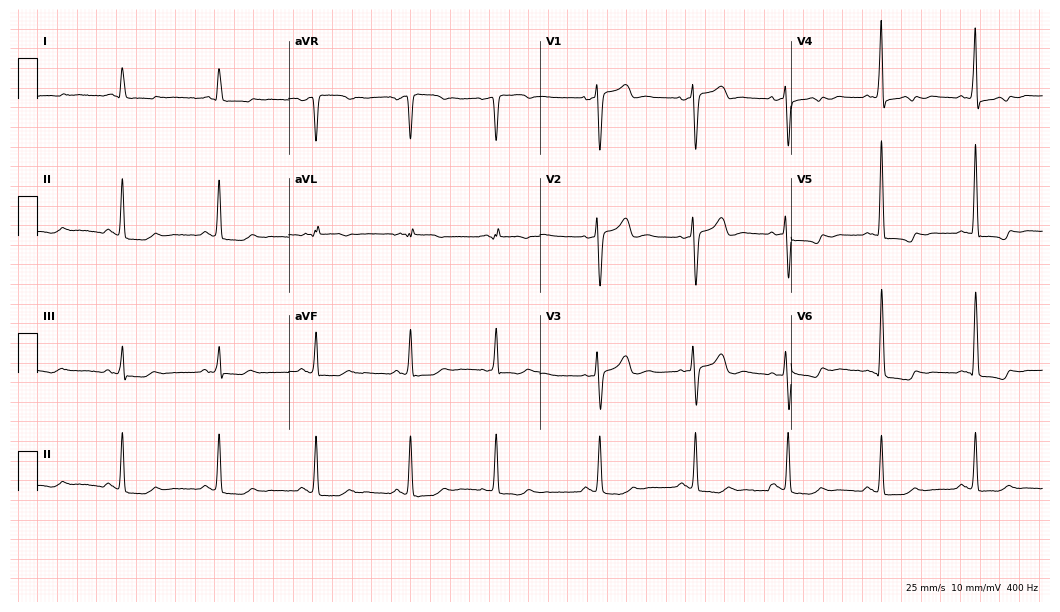
Standard 12-lead ECG recorded from a female patient, 71 years old. None of these six findings is recorded: first-degree AV block, right bundle branch block, left bundle branch block, sinus bradycardia, atrial fibrillation, sinus tachycardia.